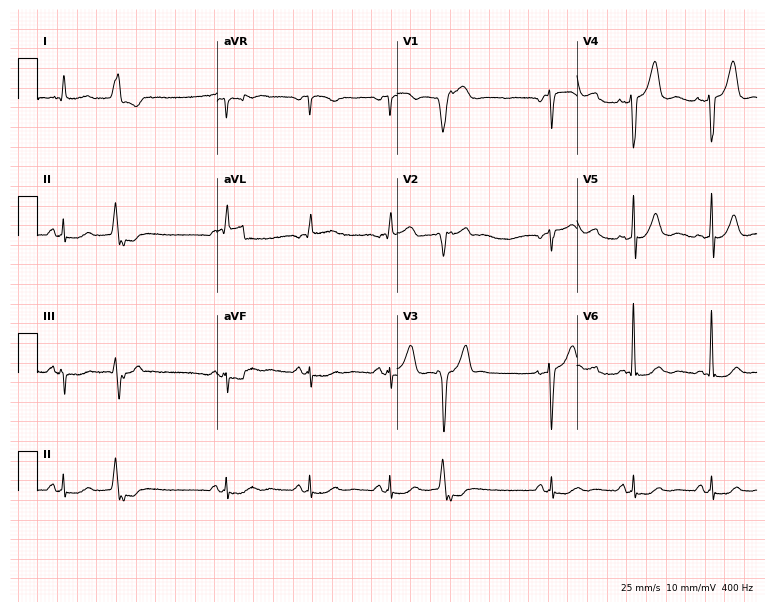
Standard 12-lead ECG recorded from a 79-year-old male patient. None of these six findings is recorded: first-degree AV block, right bundle branch block (RBBB), left bundle branch block (LBBB), sinus bradycardia, atrial fibrillation (AF), sinus tachycardia. Only these six findings were labelled.